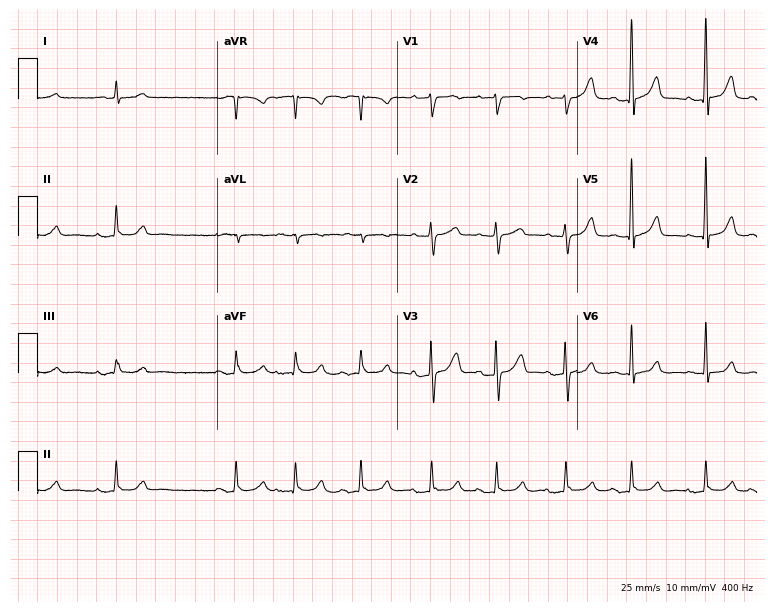
12-lead ECG from a man, 72 years old. No first-degree AV block, right bundle branch block, left bundle branch block, sinus bradycardia, atrial fibrillation or sinus tachycardia recorded for this tracing. Only these six findings were labelled.